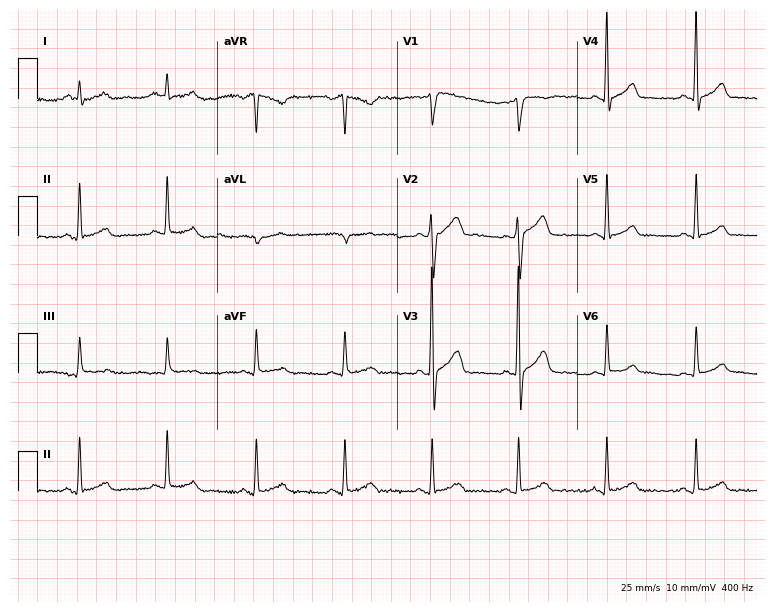
12-lead ECG from a 42-year-old male. Labelled as a normal ECG.